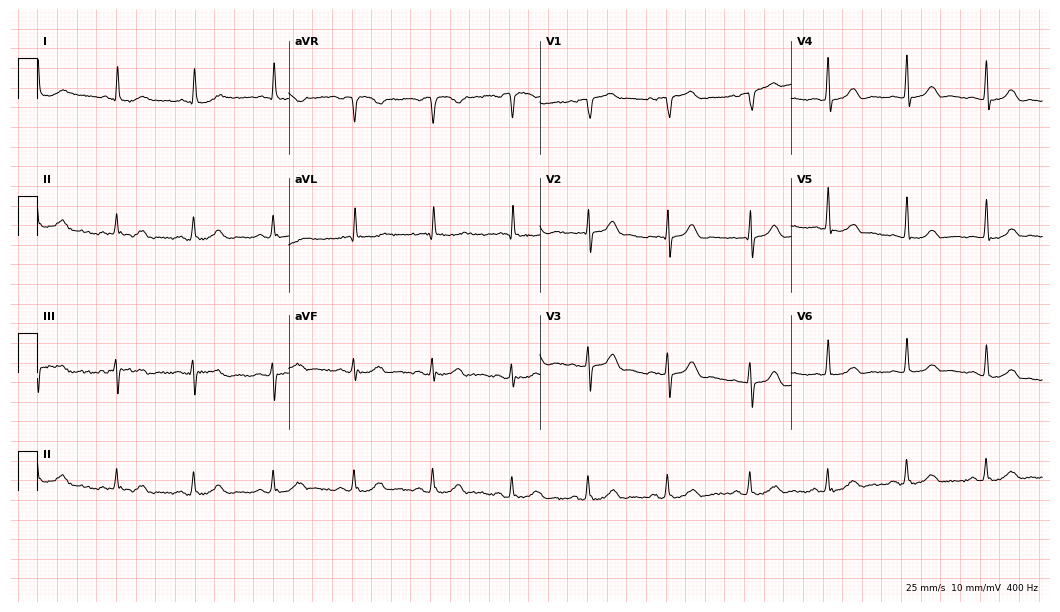
ECG — a 79-year-old female. Labelled as a normal ECG.